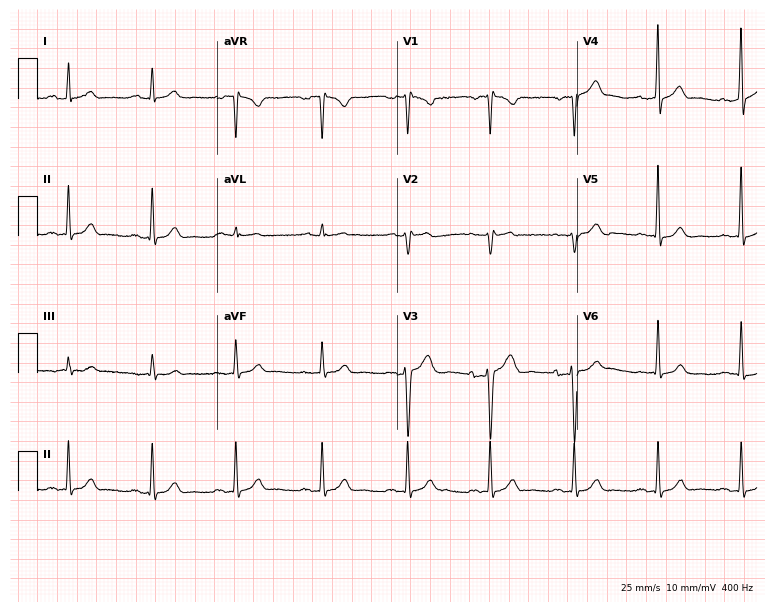
Standard 12-lead ECG recorded from a male, 46 years old (7.3-second recording at 400 Hz). None of these six findings is recorded: first-degree AV block, right bundle branch block, left bundle branch block, sinus bradycardia, atrial fibrillation, sinus tachycardia. Findings outside these six are not listed.